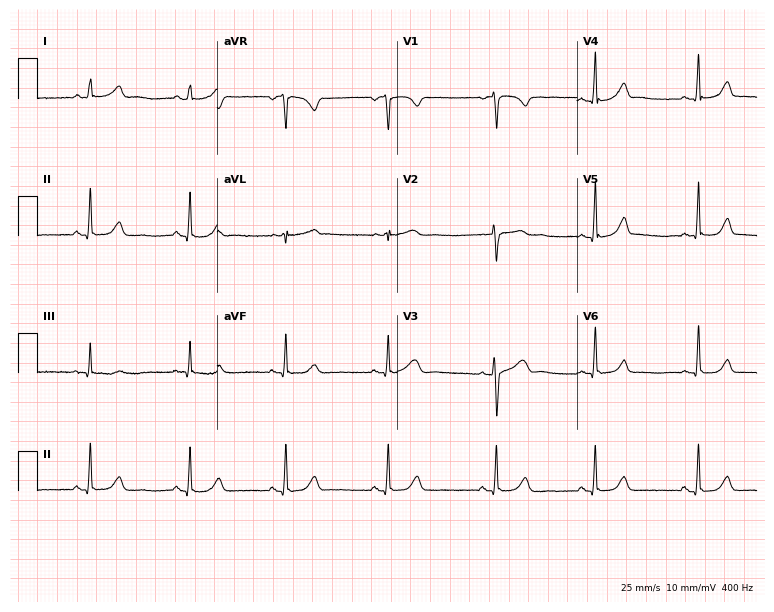
ECG — a woman, 26 years old. Labelled as a normal ECG.